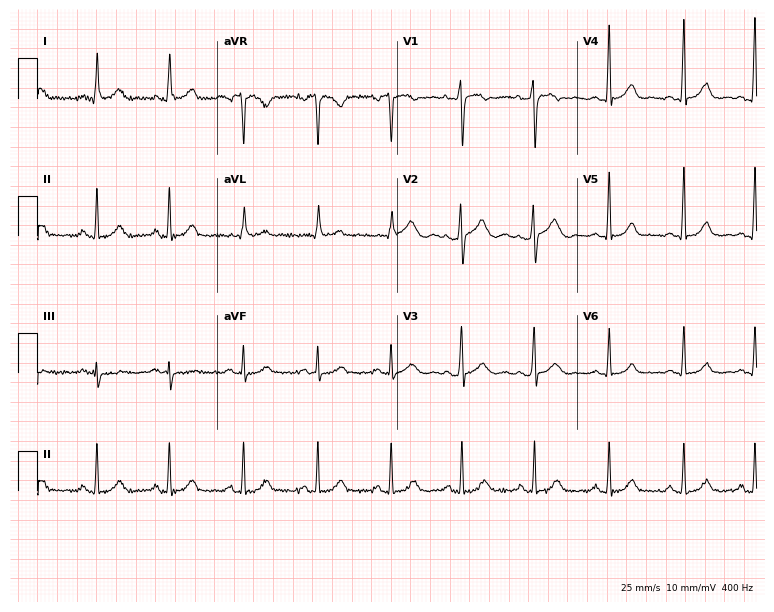
12-lead ECG (7.3-second recording at 400 Hz) from a 29-year-old female. Labelled as a normal ECG.